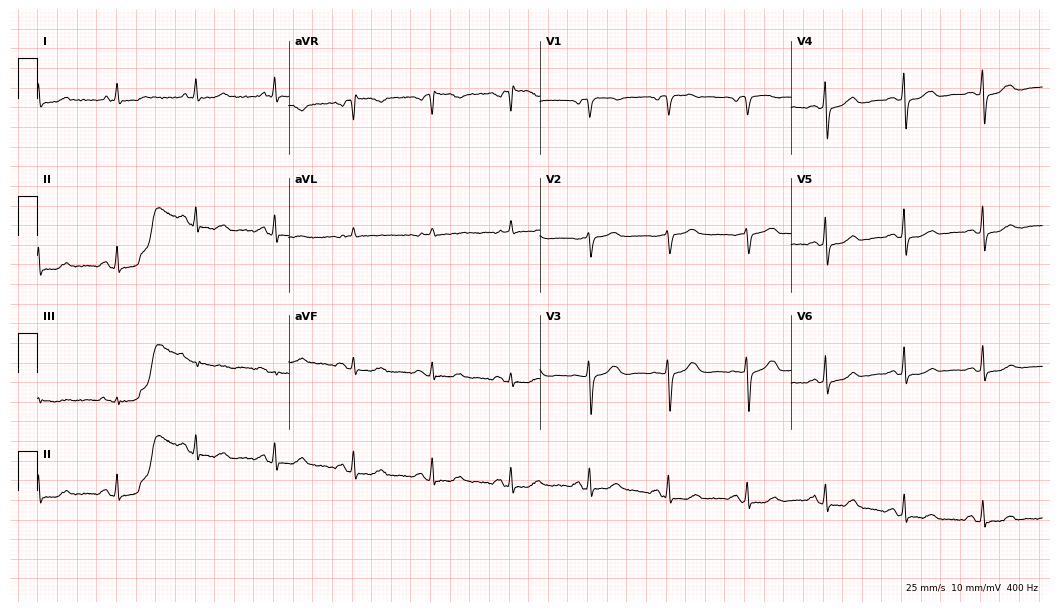
12-lead ECG from an 85-year-old female. Screened for six findings — first-degree AV block, right bundle branch block, left bundle branch block, sinus bradycardia, atrial fibrillation, sinus tachycardia — none is recorded. Other findings, if any, are not listed.